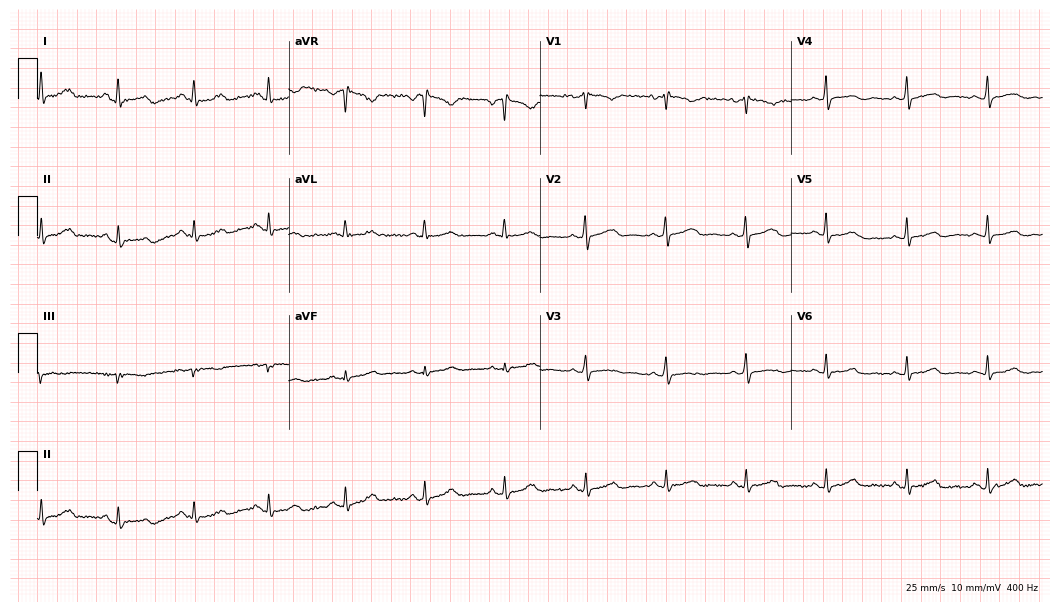
Resting 12-lead electrocardiogram (10.2-second recording at 400 Hz). Patient: an 18-year-old female. Read as a normal ECG.